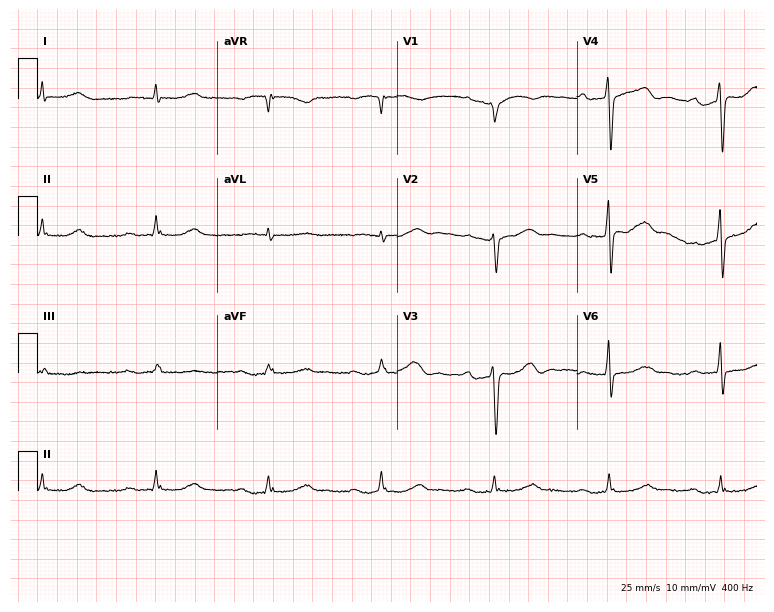
Resting 12-lead electrocardiogram. Patient: a man, 80 years old. The tracing shows first-degree AV block.